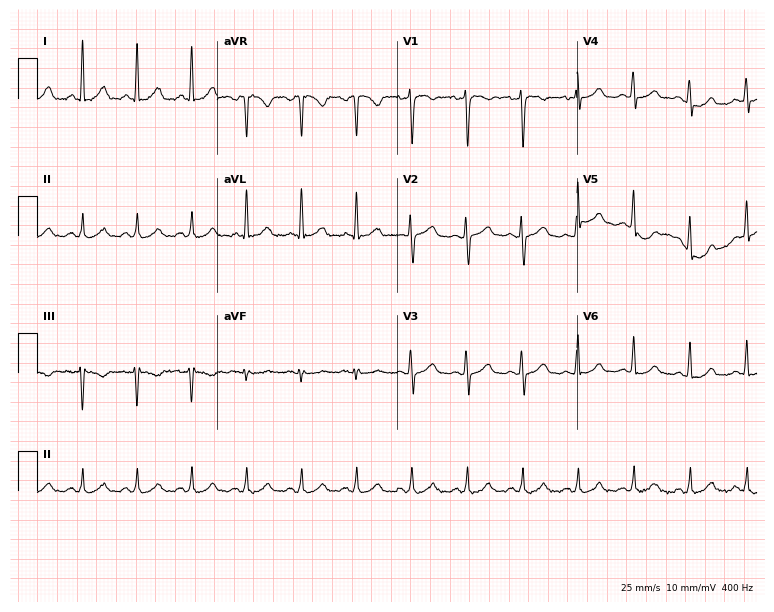
12-lead ECG from a female patient, 41 years old. Screened for six findings — first-degree AV block, right bundle branch block, left bundle branch block, sinus bradycardia, atrial fibrillation, sinus tachycardia — none is recorded.